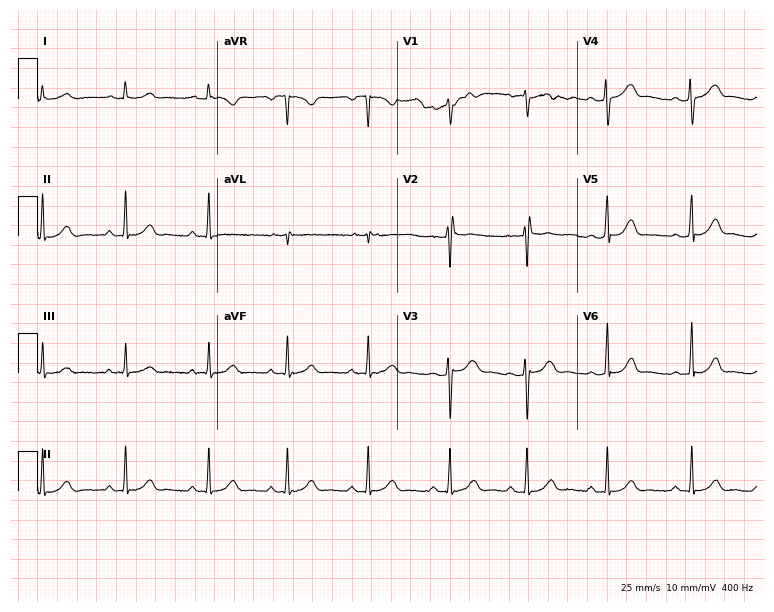
12-lead ECG from a female, 29 years old. Screened for six findings — first-degree AV block, right bundle branch block, left bundle branch block, sinus bradycardia, atrial fibrillation, sinus tachycardia — none is recorded.